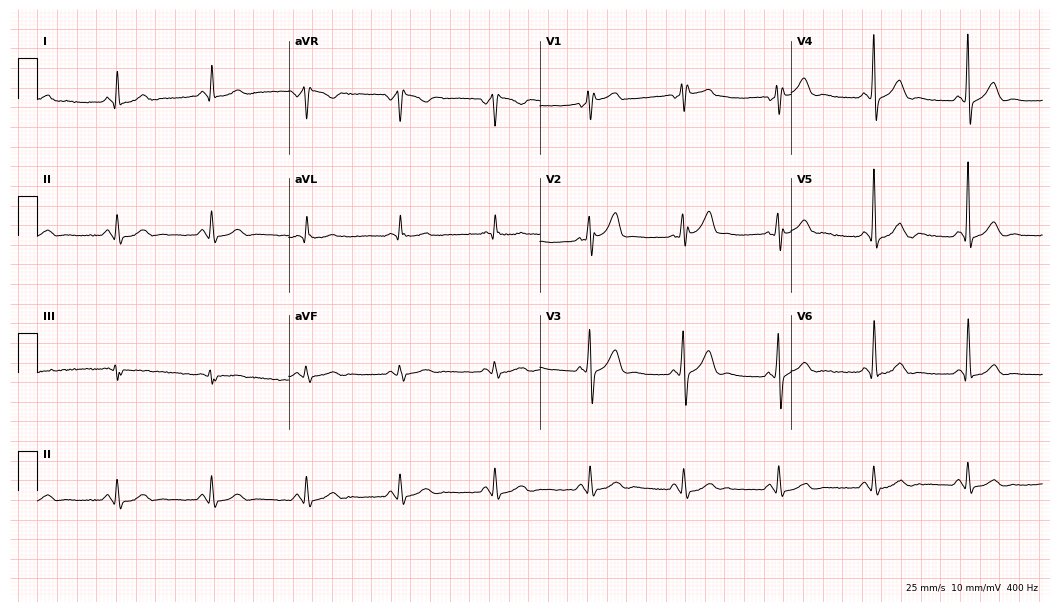
Standard 12-lead ECG recorded from a male, 56 years old (10.2-second recording at 400 Hz). None of these six findings is recorded: first-degree AV block, right bundle branch block, left bundle branch block, sinus bradycardia, atrial fibrillation, sinus tachycardia.